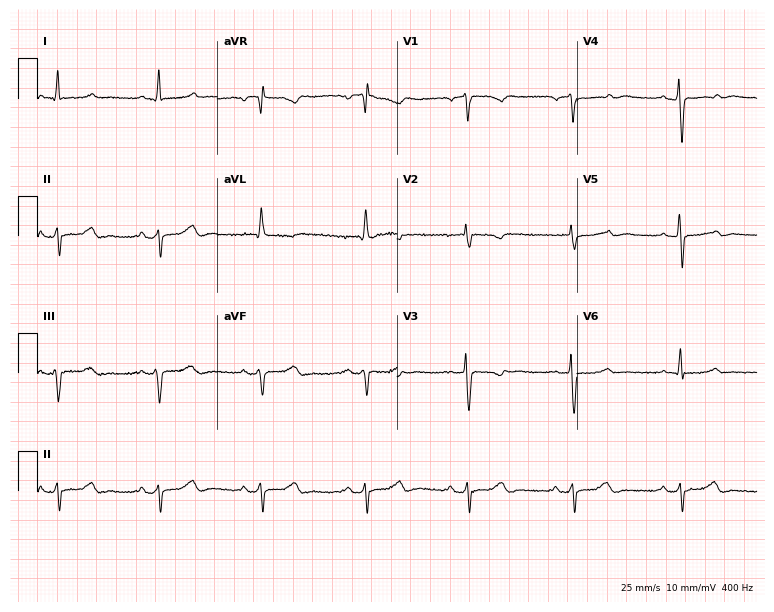
Resting 12-lead electrocardiogram (7.3-second recording at 400 Hz). Patient: a woman, 63 years old. None of these six findings is recorded: first-degree AV block, right bundle branch block, left bundle branch block, sinus bradycardia, atrial fibrillation, sinus tachycardia.